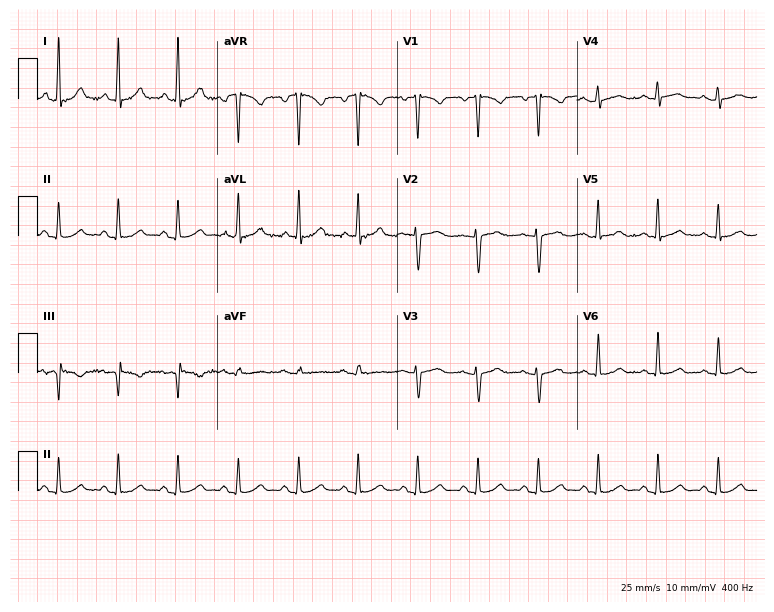
12-lead ECG from a 29-year-old woman (7.3-second recording at 400 Hz). Recorded interpretation: within normal limits.